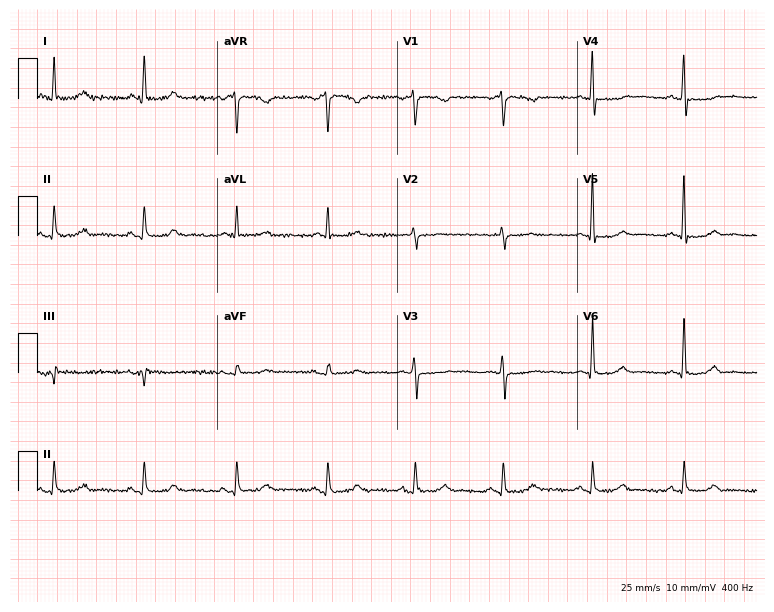
Standard 12-lead ECG recorded from a woman, 59 years old (7.3-second recording at 400 Hz). None of these six findings is recorded: first-degree AV block, right bundle branch block, left bundle branch block, sinus bradycardia, atrial fibrillation, sinus tachycardia.